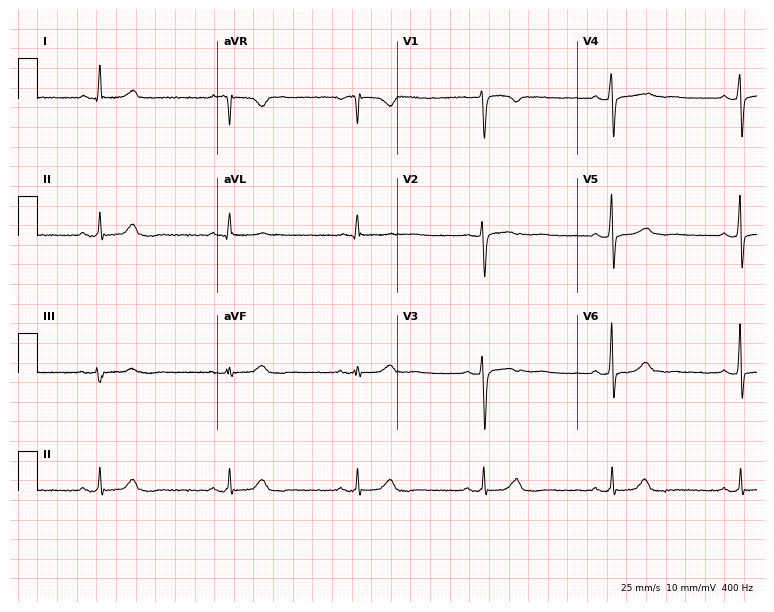
Electrocardiogram (7.3-second recording at 400 Hz), a 63-year-old woman. Of the six screened findings (first-degree AV block, right bundle branch block, left bundle branch block, sinus bradycardia, atrial fibrillation, sinus tachycardia), none is recorded. Other findings, if any, are not listed.